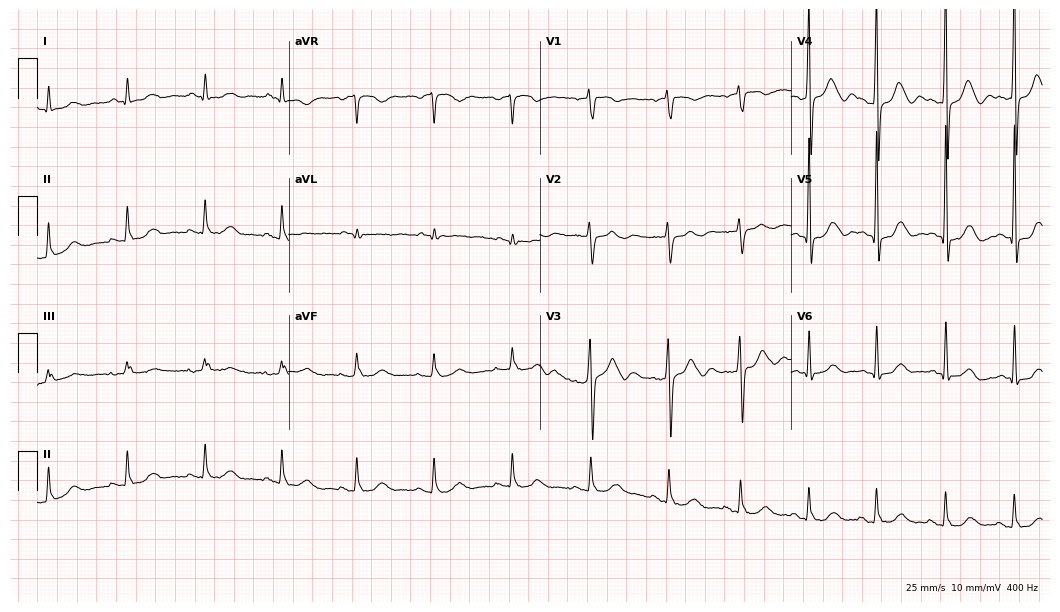
12-lead ECG from a male patient, 43 years old (10.2-second recording at 400 Hz). No first-degree AV block, right bundle branch block (RBBB), left bundle branch block (LBBB), sinus bradycardia, atrial fibrillation (AF) or sinus tachycardia recorded for this tracing.